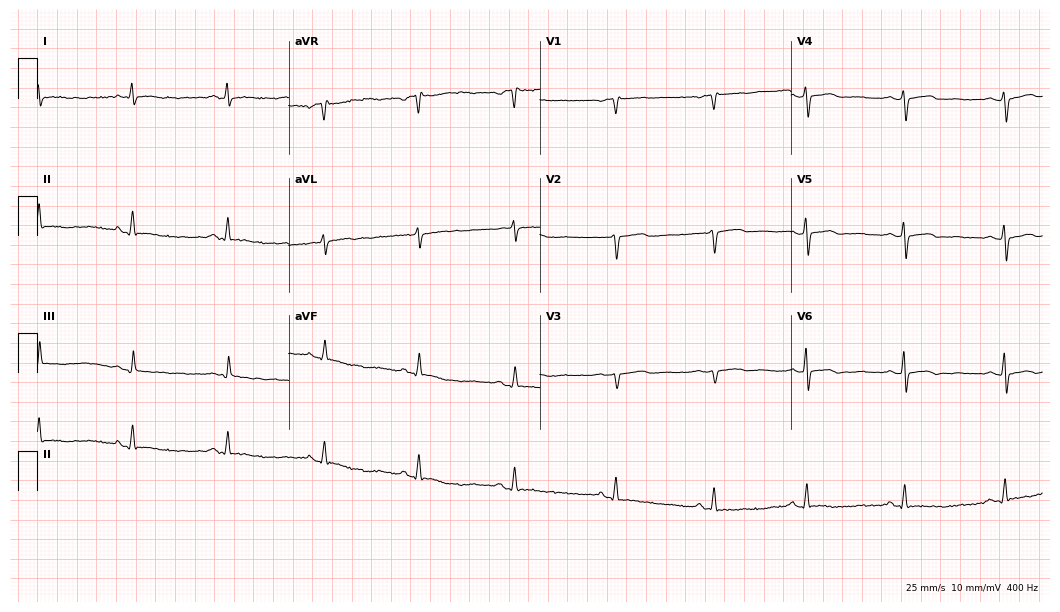
Standard 12-lead ECG recorded from a woman, 49 years old (10.2-second recording at 400 Hz). None of these six findings is recorded: first-degree AV block, right bundle branch block, left bundle branch block, sinus bradycardia, atrial fibrillation, sinus tachycardia.